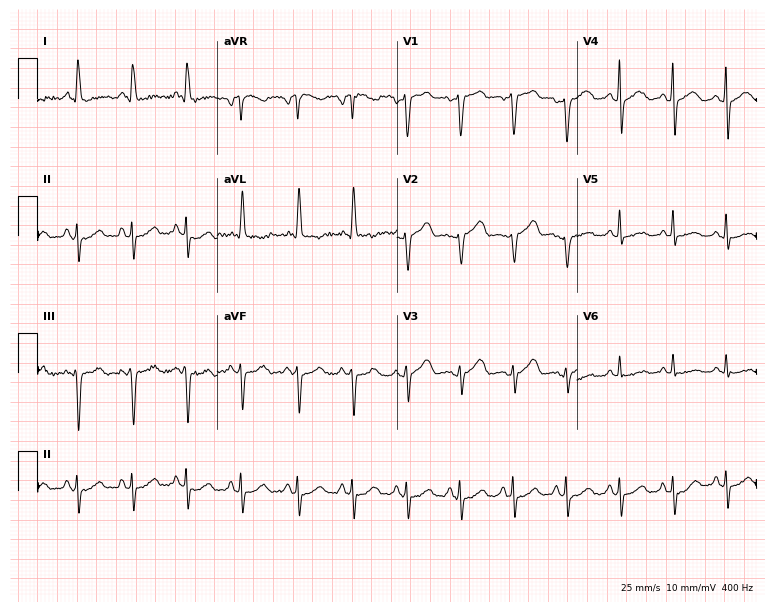
12-lead ECG (7.3-second recording at 400 Hz) from a woman, 64 years old. Findings include sinus tachycardia (a sinus rate of 100 beats per minute or more).